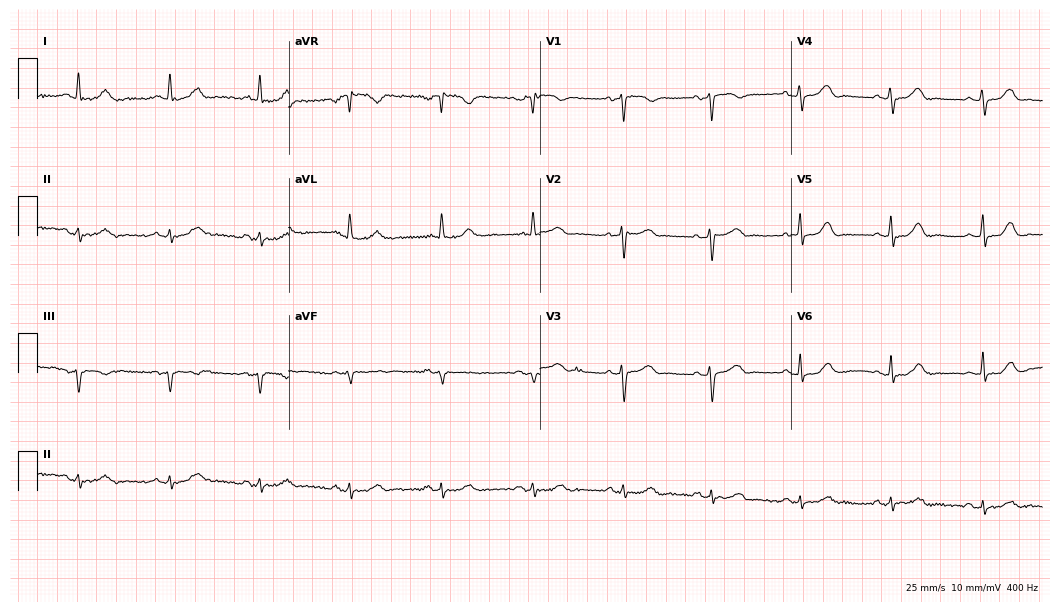
Standard 12-lead ECG recorded from a female patient, 74 years old. None of these six findings is recorded: first-degree AV block, right bundle branch block (RBBB), left bundle branch block (LBBB), sinus bradycardia, atrial fibrillation (AF), sinus tachycardia. Only these six findings were labelled.